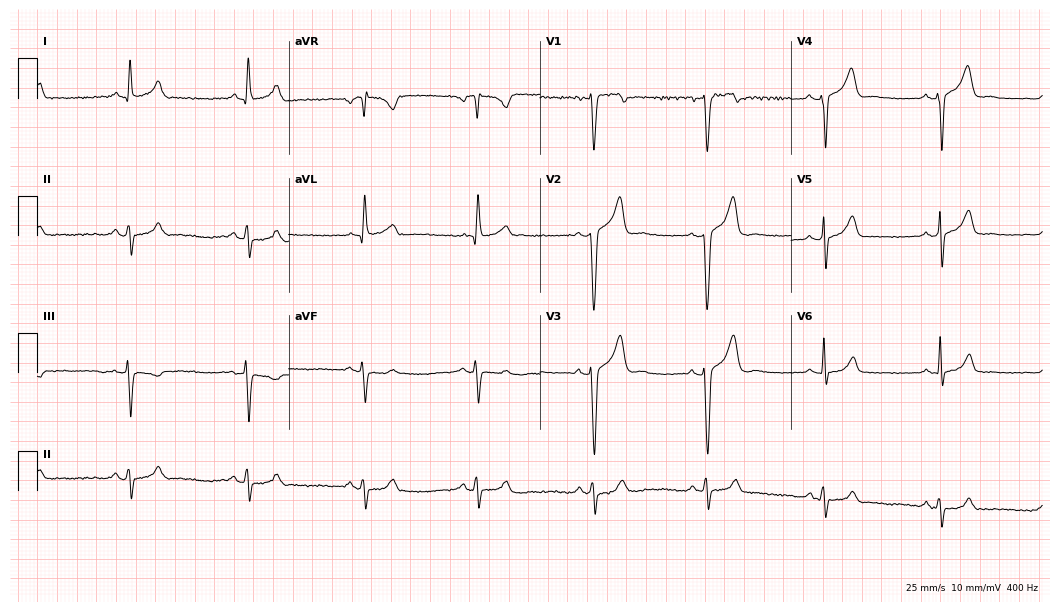
12-lead ECG (10.2-second recording at 400 Hz) from a 46-year-old man. Screened for six findings — first-degree AV block, right bundle branch block, left bundle branch block, sinus bradycardia, atrial fibrillation, sinus tachycardia — none is recorded.